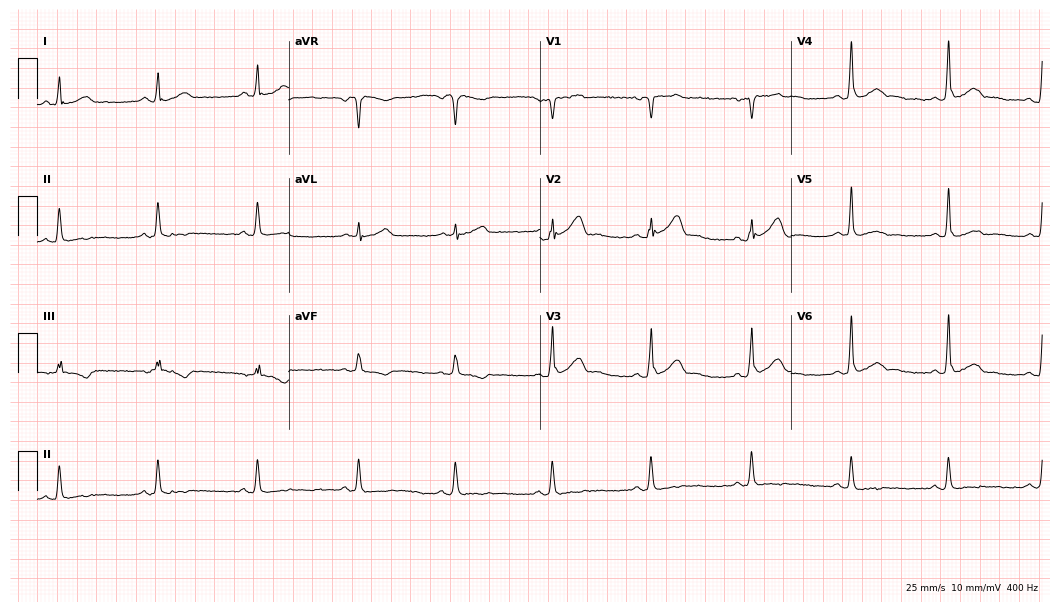
Resting 12-lead electrocardiogram (10.2-second recording at 400 Hz). Patient: a 35-year-old man. None of these six findings is recorded: first-degree AV block, right bundle branch block (RBBB), left bundle branch block (LBBB), sinus bradycardia, atrial fibrillation (AF), sinus tachycardia. Findings outside these six are not listed.